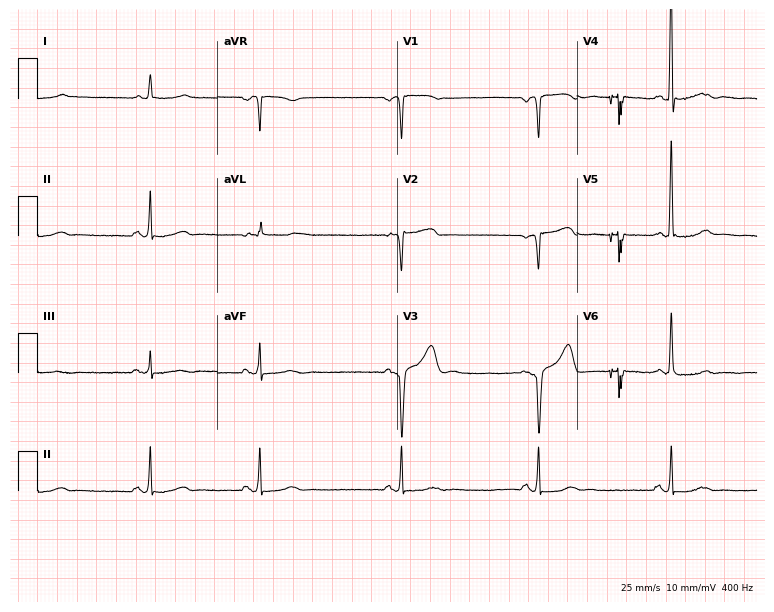
12-lead ECG from a female patient, 64 years old. Shows sinus bradycardia (a sinus rate of 50 beats per minute or less).